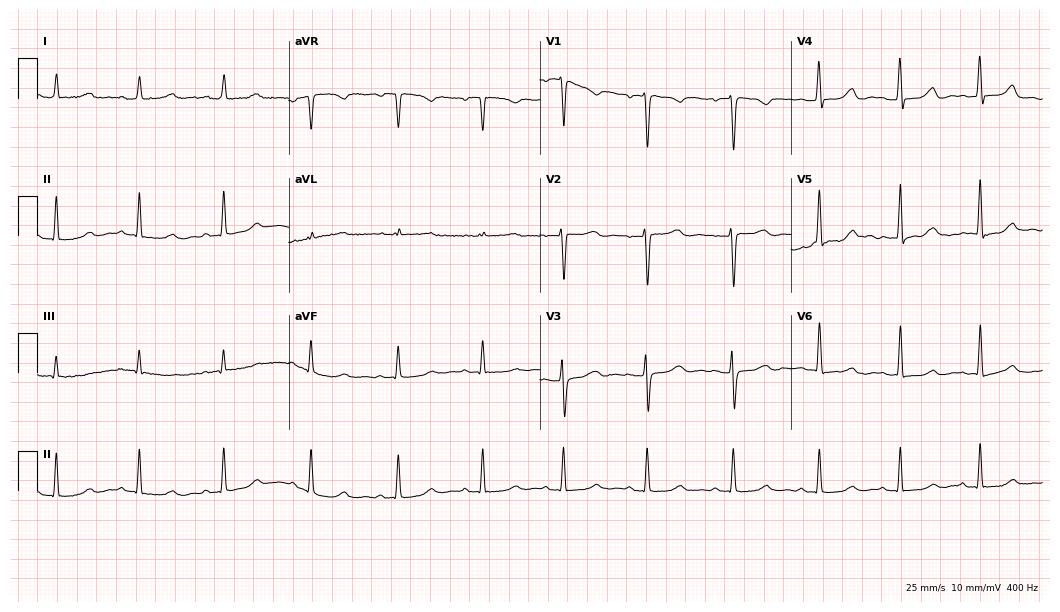
ECG (10.2-second recording at 400 Hz) — a female, 50 years old. Labelled as a normal ECG.